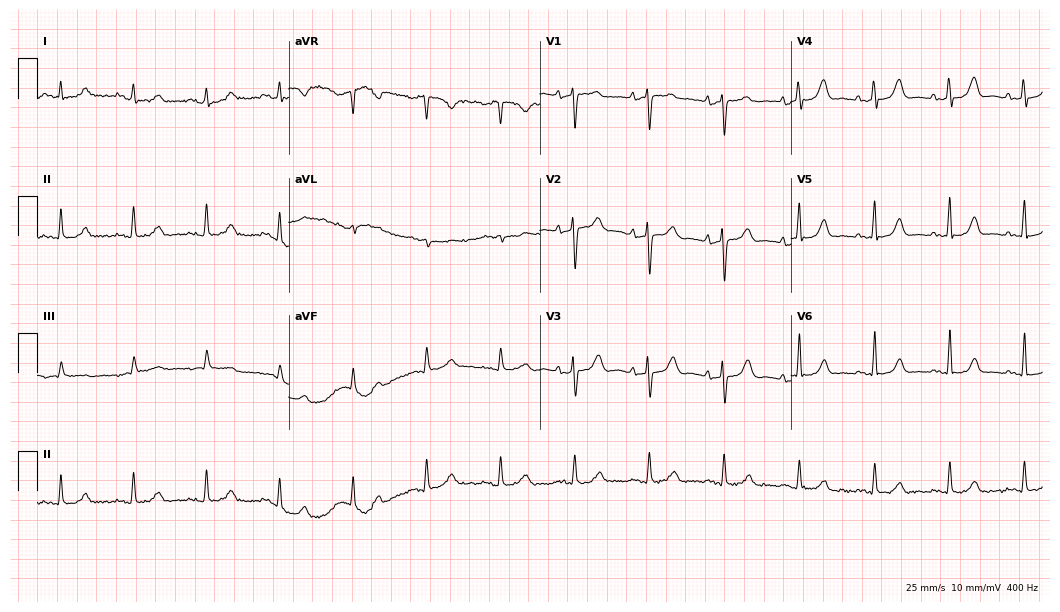
12-lead ECG (10.2-second recording at 400 Hz) from a 51-year-old woman. Screened for six findings — first-degree AV block, right bundle branch block, left bundle branch block, sinus bradycardia, atrial fibrillation, sinus tachycardia — none is recorded.